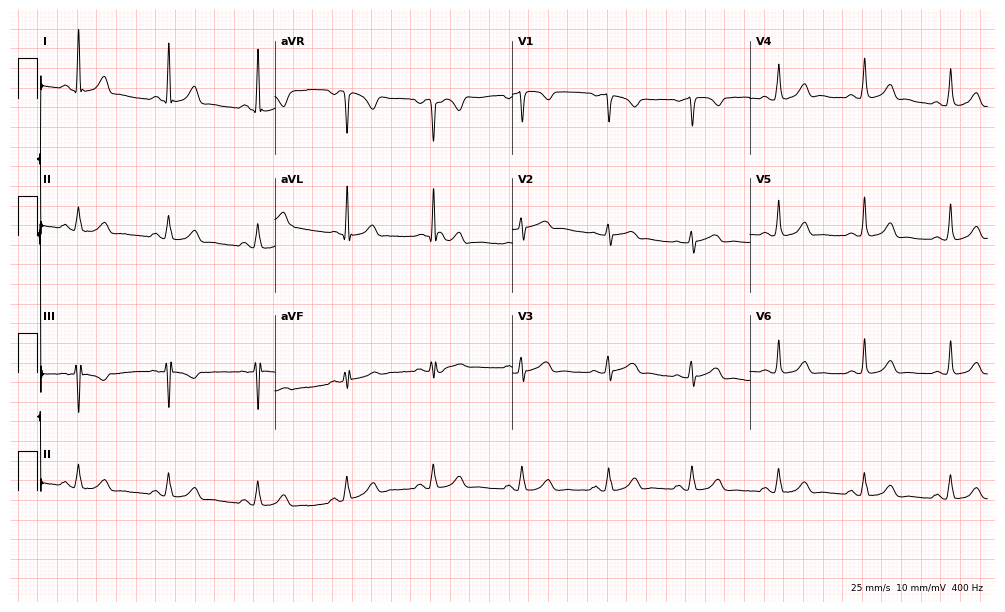
Resting 12-lead electrocardiogram. Patient: a woman, 33 years old. Read as a normal ECG.